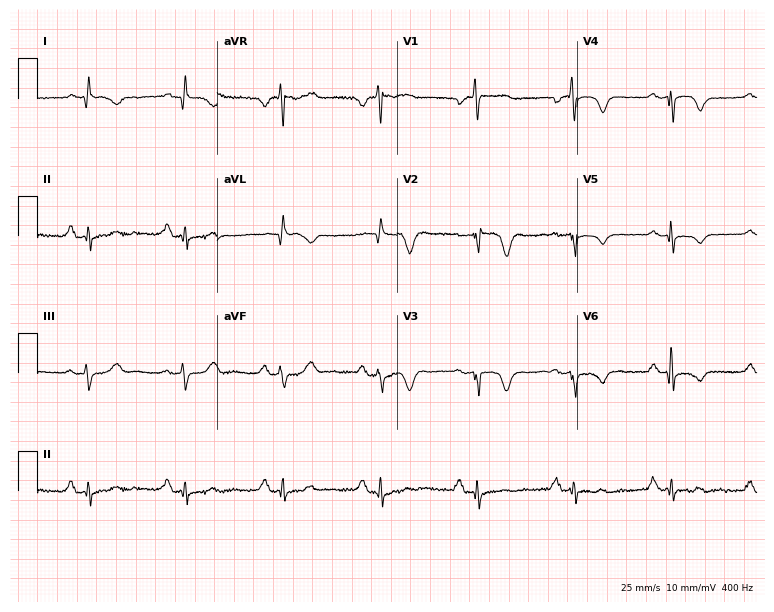
Standard 12-lead ECG recorded from a male patient, 79 years old (7.3-second recording at 400 Hz). None of these six findings is recorded: first-degree AV block, right bundle branch block, left bundle branch block, sinus bradycardia, atrial fibrillation, sinus tachycardia.